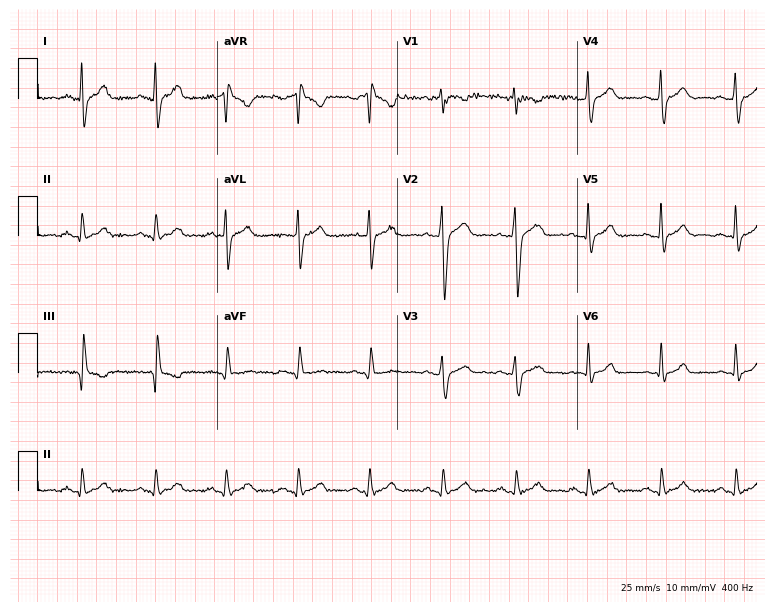
12-lead ECG (7.3-second recording at 400 Hz) from a 26-year-old male. Labelled as a normal ECG.